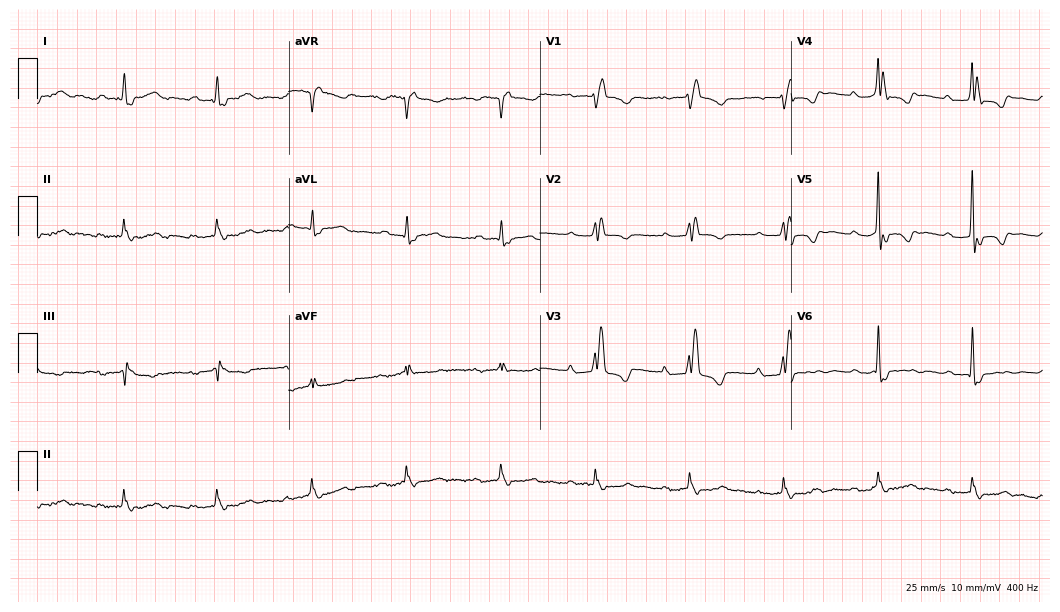
12-lead ECG from an 83-year-old man (10.2-second recording at 400 Hz). Shows first-degree AV block, right bundle branch block.